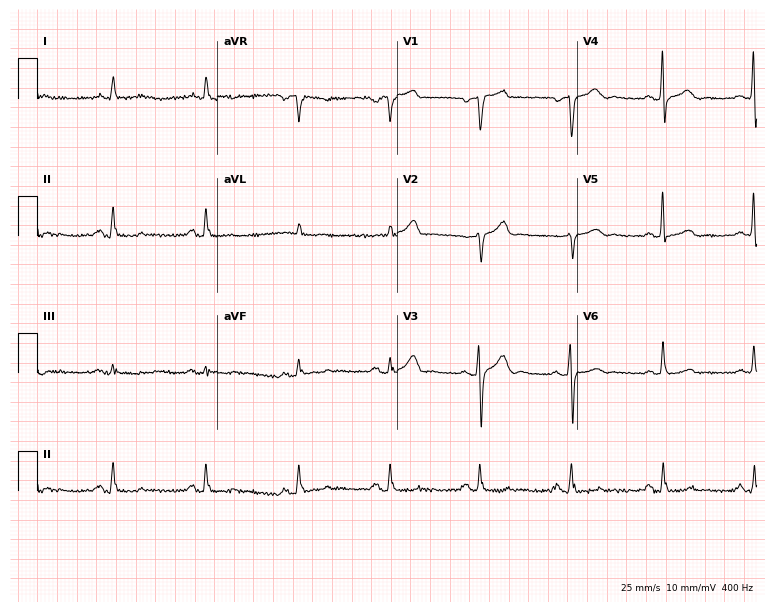
12-lead ECG (7.3-second recording at 400 Hz) from a 56-year-old male. Labelled as a normal ECG.